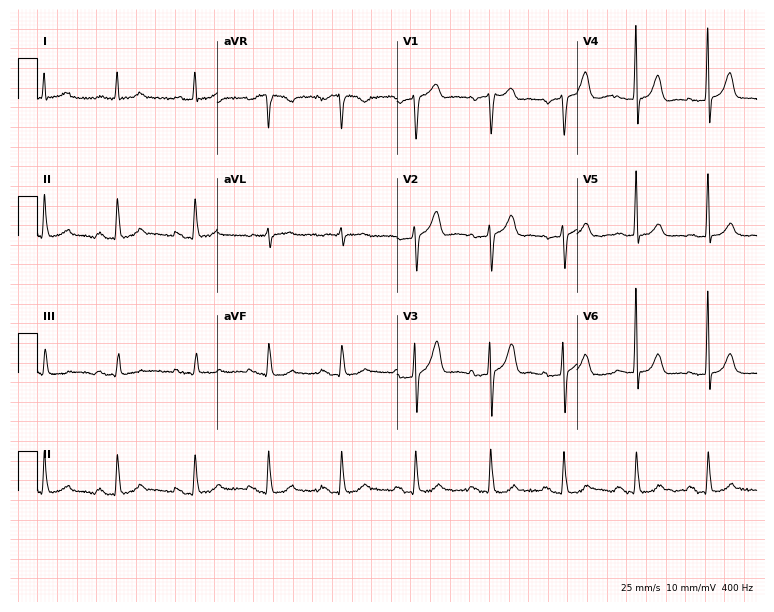
Electrocardiogram (7.3-second recording at 400 Hz), a male patient, 71 years old. Of the six screened findings (first-degree AV block, right bundle branch block (RBBB), left bundle branch block (LBBB), sinus bradycardia, atrial fibrillation (AF), sinus tachycardia), none is recorded.